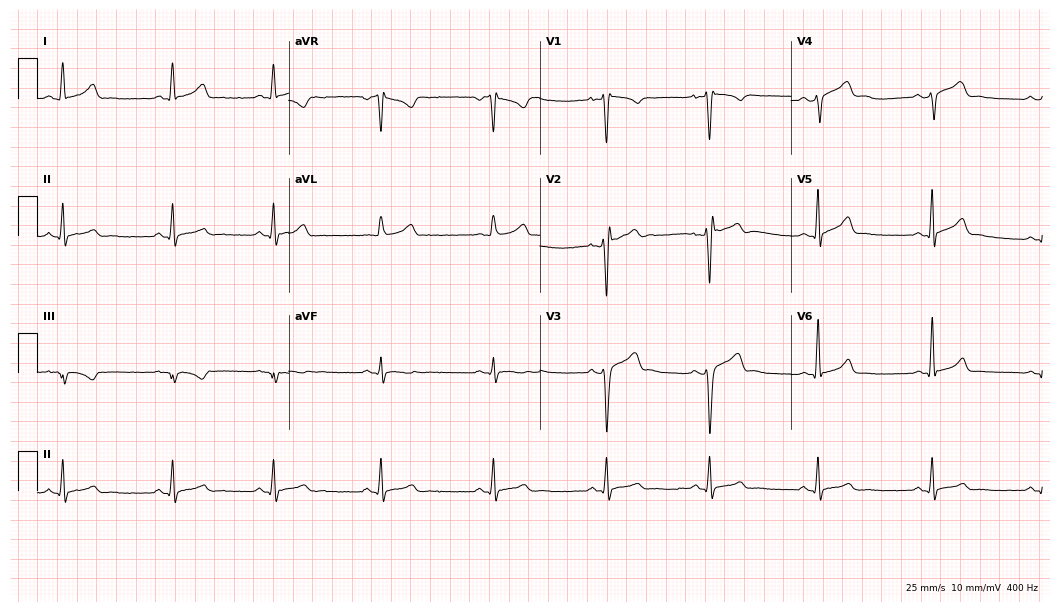
Standard 12-lead ECG recorded from a 25-year-old male patient. Read as a normal ECG.